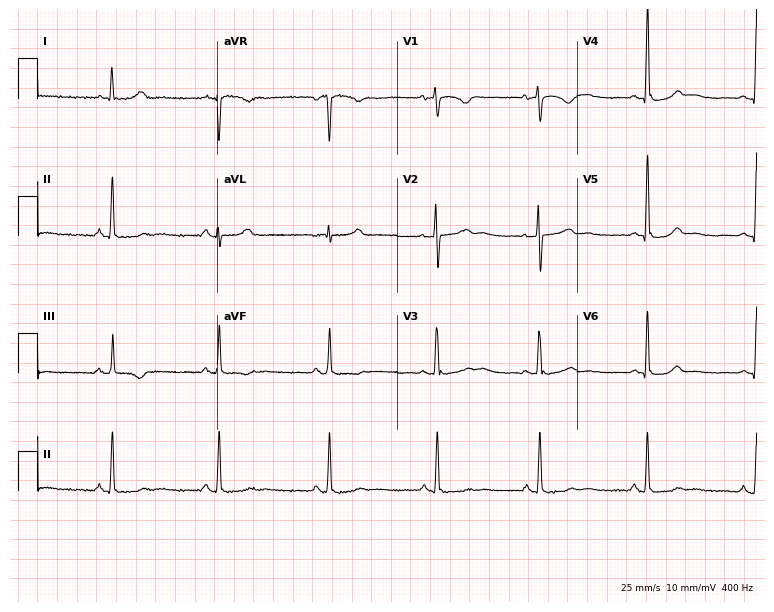
Electrocardiogram, a female, 56 years old. Of the six screened findings (first-degree AV block, right bundle branch block (RBBB), left bundle branch block (LBBB), sinus bradycardia, atrial fibrillation (AF), sinus tachycardia), none is recorded.